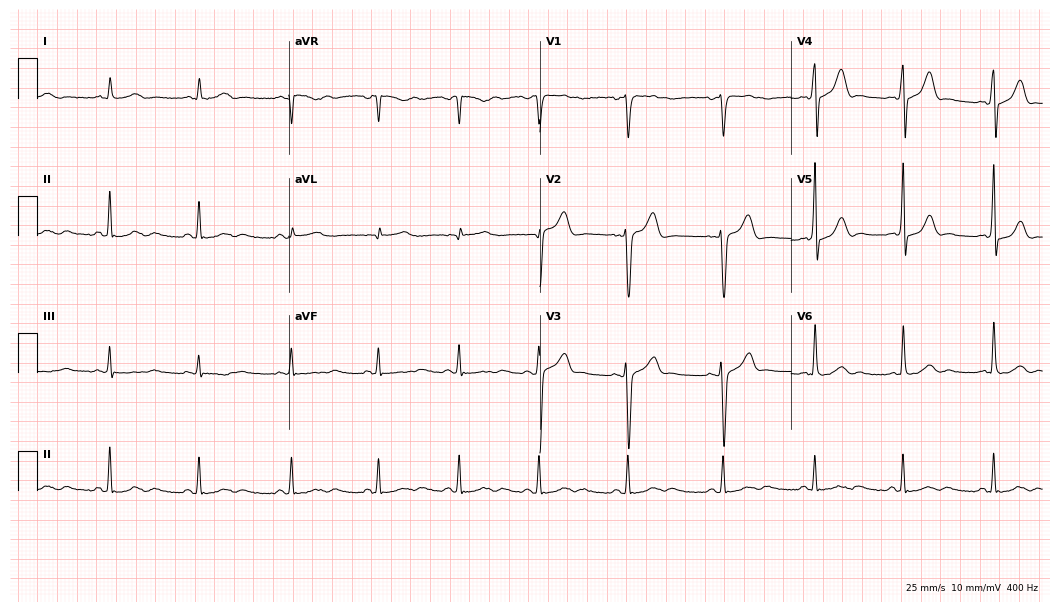
12-lead ECG from a 30-year-old man. Recorded interpretation: within normal limits.